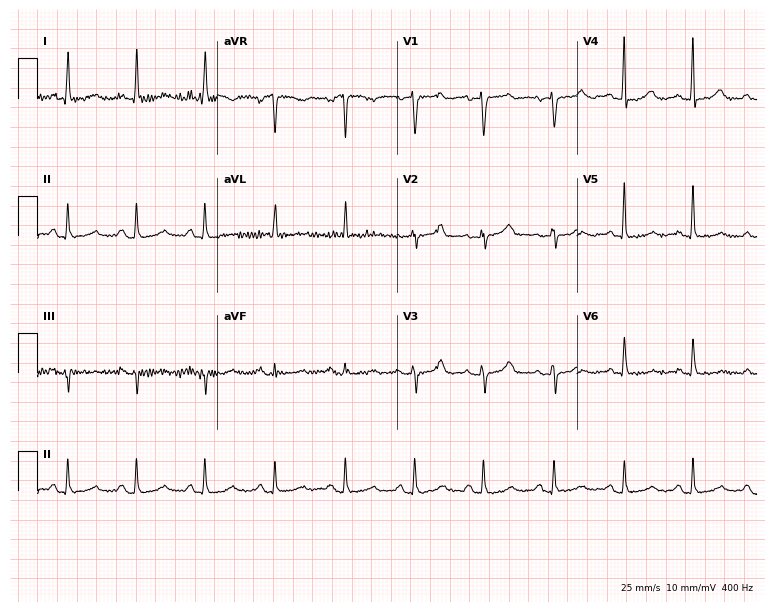
Standard 12-lead ECG recorded from a female, 74 years old (7.3-second recording at 400 Hz). Read as a normal ECG.